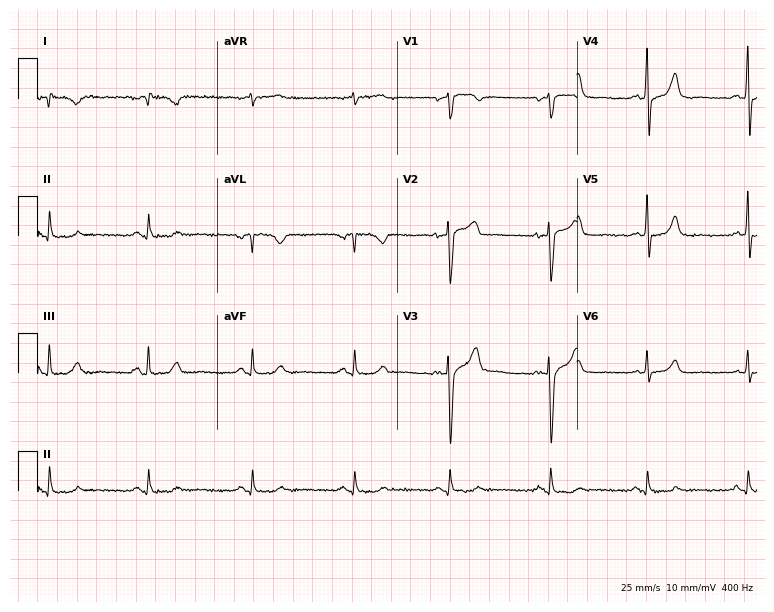
Standard 12-lead ECG recorded from a male, 66 years old. Read as a normal ECG.